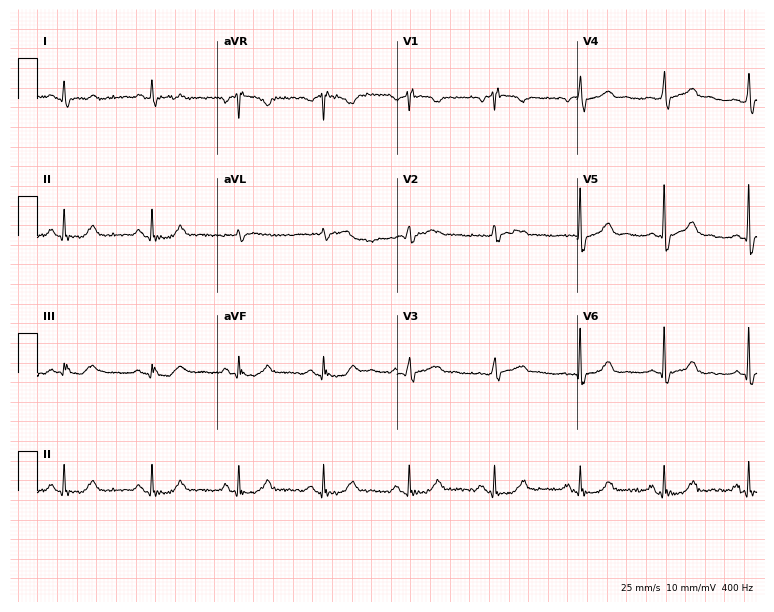
12-lead ECG from a male patient, 81 years old (7.3-second recording at 400 Hz). No first-degree AV block, right bundle branch block, left bundle branch block, sinus bradycardia, atrial fibrillation or sinus tachycardia recorded for this tracing.